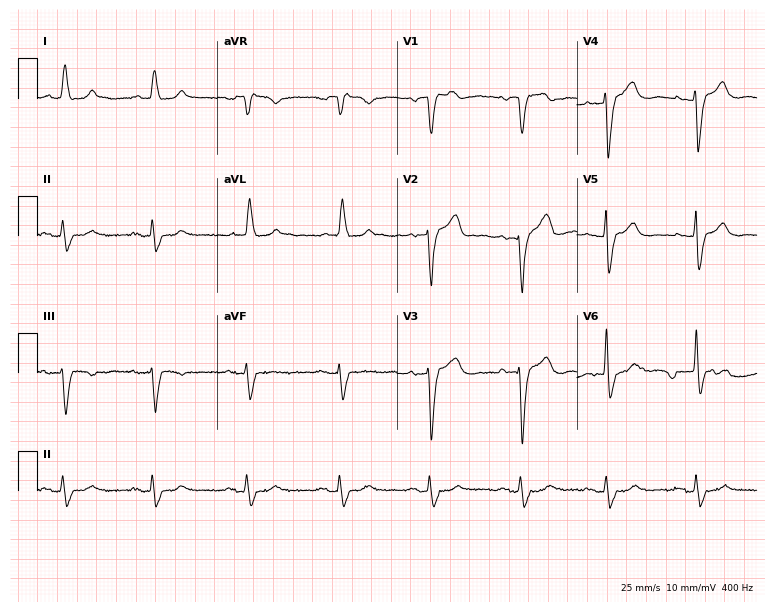
Standard 12-lead ECG recorded from a male patient, 81 years old. The tracing shows left bundle branch block.